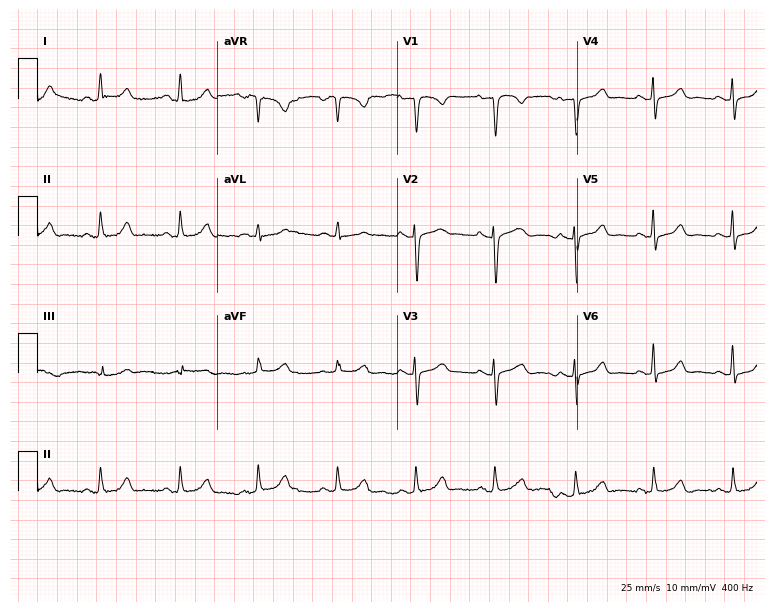
Electrocardiogram, a 41-year-old female patient. Of the six screened findings (first-degree AV block, right bundle branch block (RBBB), left bundle branch block (LBBB), sinus bradycardia, atrial fibrillation (AF), sinus tachycardia), none is recorded. Other findings, if any, are not listed.